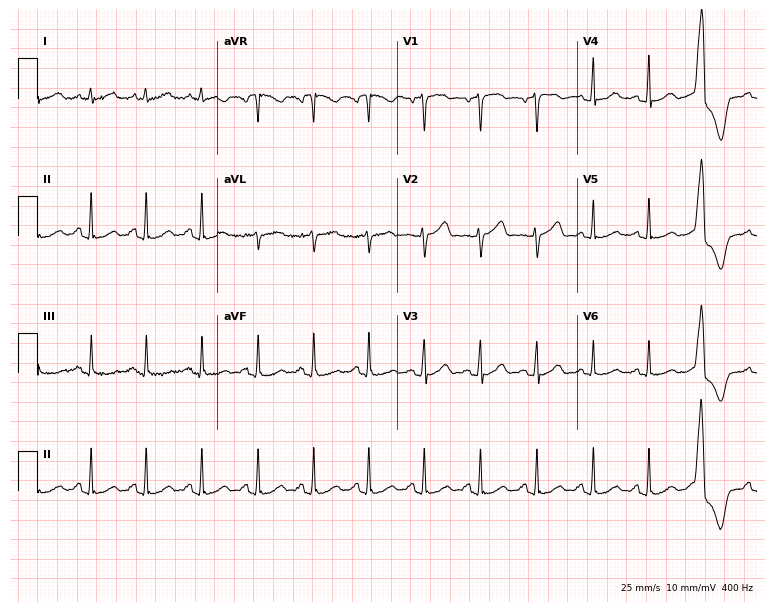
12-lead ECG from a female, 58 years old. Shows sinus tachycardia (a sinus rate of 100 beats per minute or more).